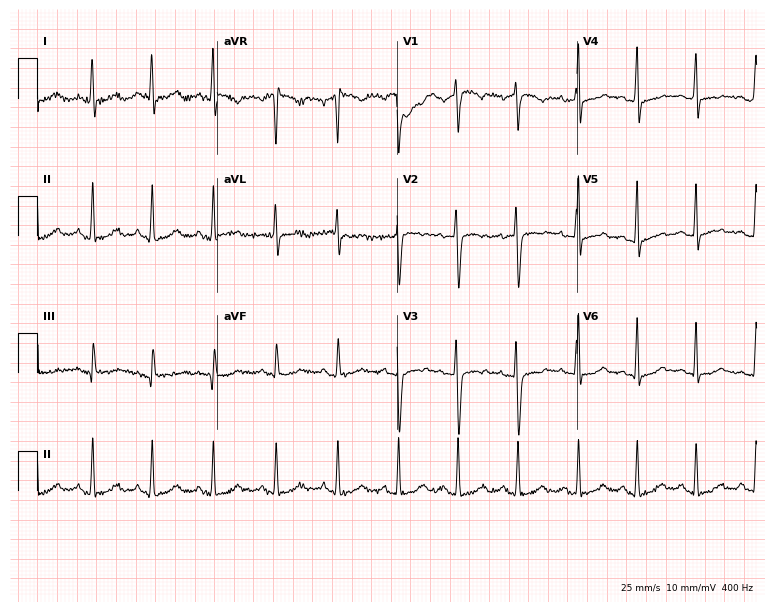
12-lead ECG from a 22-year-old woman. Screened for six findings — first-degree AV block, right bundle branch block, left bundle branch block, sinus bradycardia, atrial fibrillation, sinus tachycardia — none is recorded. Findings outside these six are not listed.